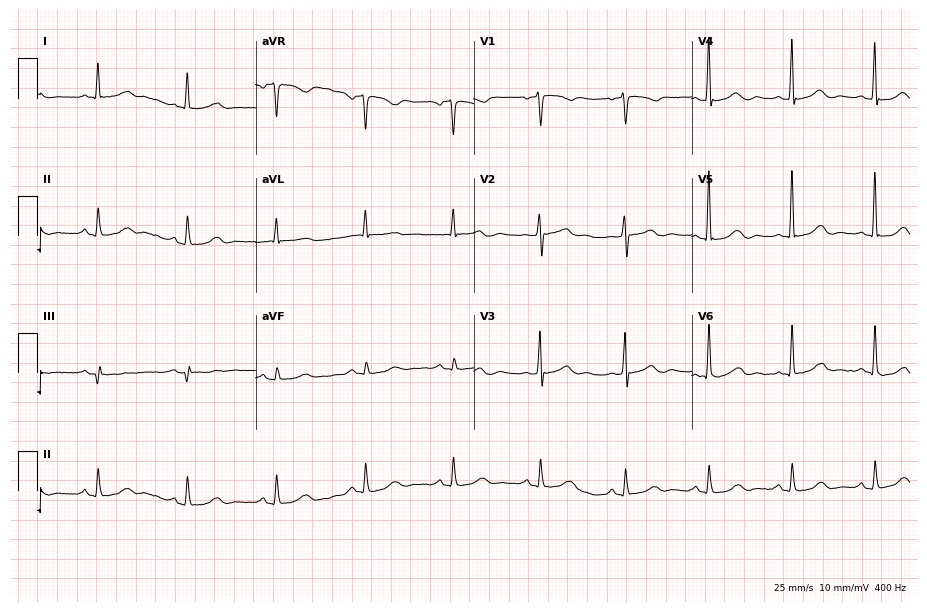
Standard 12-lead ECG recorded from a 62-year-old woman (8.9-second recording at 400 Hz). Read as a normal ECG.